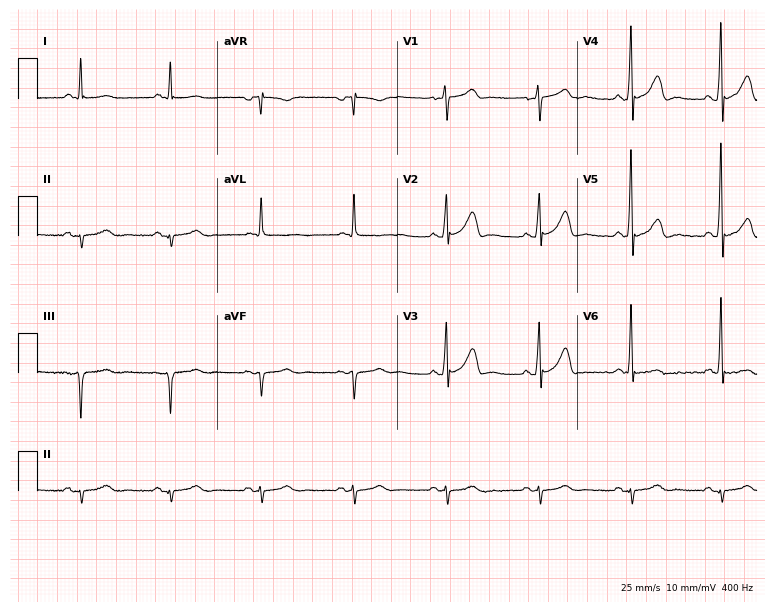
ECG — a male patient, 68 years old. Screened for six findings — first-degree AV block, right bundle branch block, left bundle branch block, sinus bradycardia, atrial fibrillation, sinus tachycardia — none is recorded.